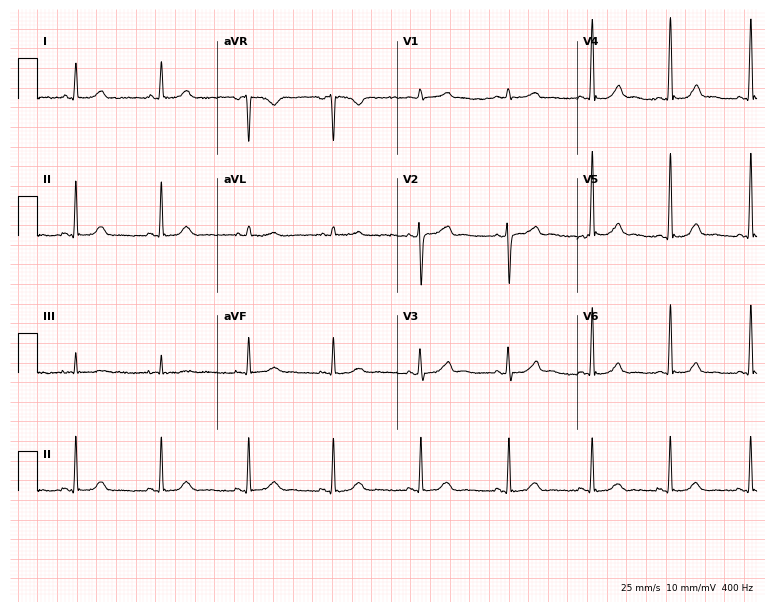
12-lead ECG from a male, 38 years old. Labelled as a normal ECG.